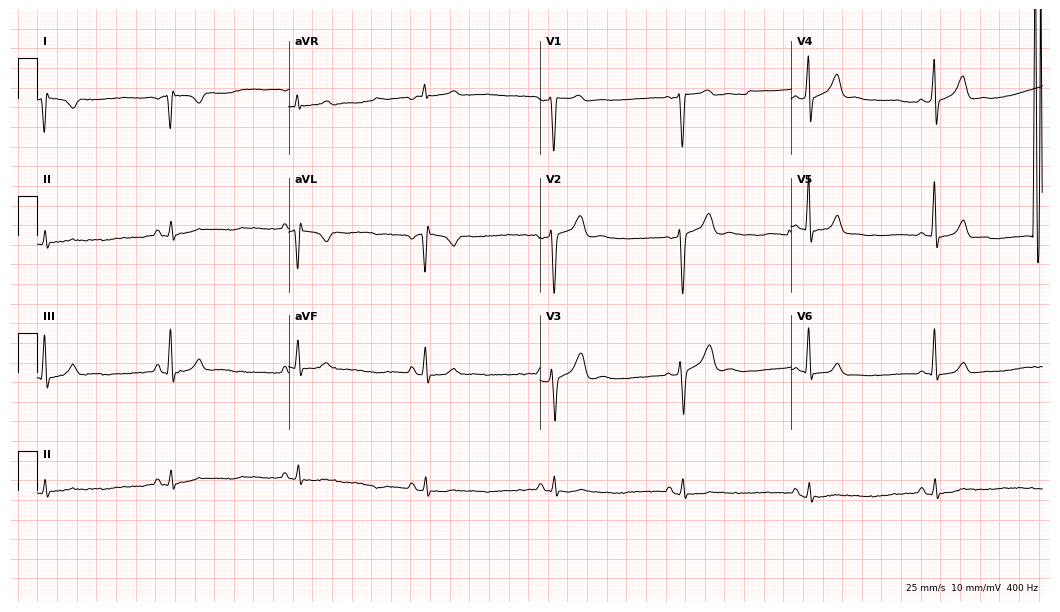
ECG (10.2-second recording at 400 Hz) — a 31-year-old male. Screened for six findings — first-degree AV block, right bundle branch block, left bundle branch block, sinus bradycardia, atrial fibrillation, sinus tachycardia — none is recorded.